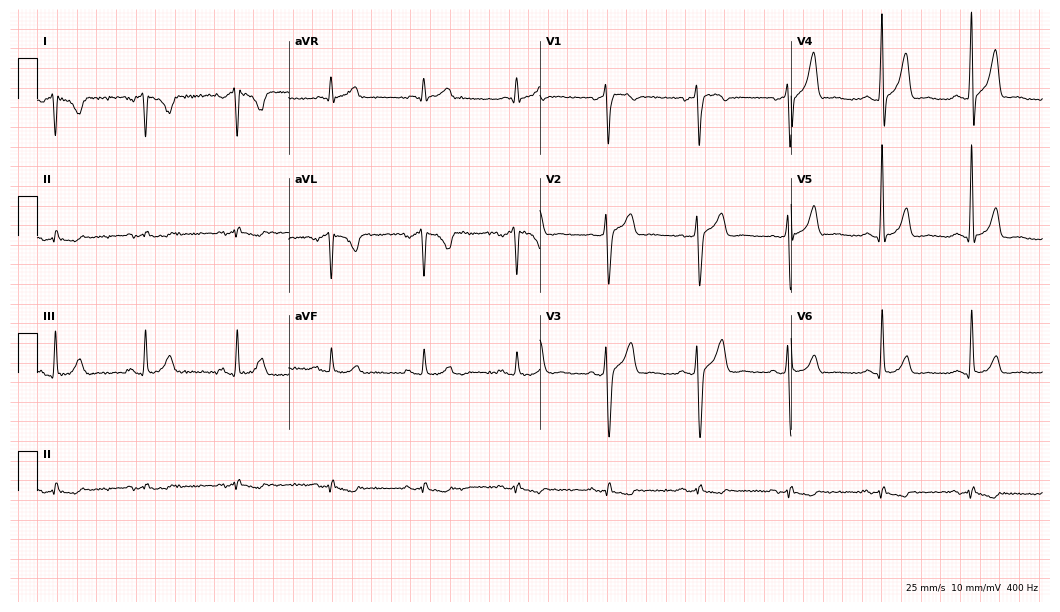
12-lead ECG from a male patient, 48 years old (10.2-second recording at 400 Hz). No first-degree AV block, right bundle branch block (RBBB), left bundle branch block (LBBB), sinus bradycardia, atrial fibrillation (AF) or sinus tachycardia recorded for this tracing.